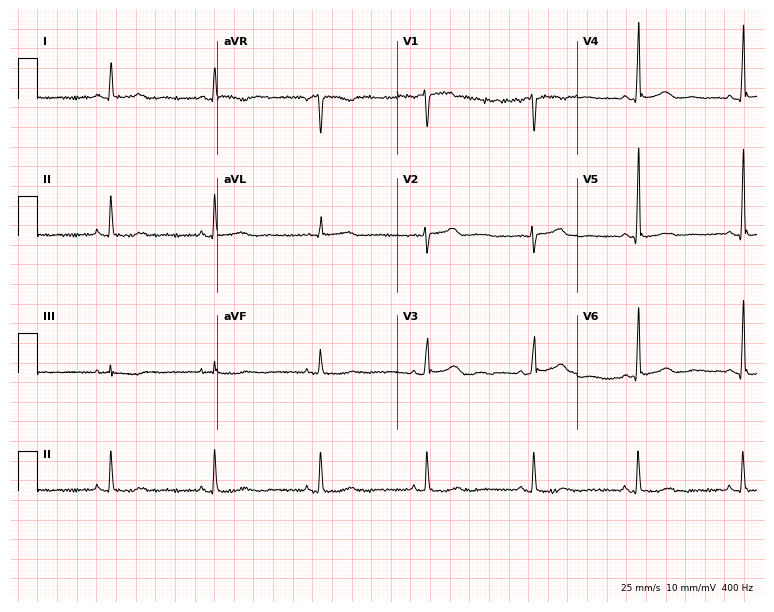
ECG — a female patient, 44 years old. Screened for six findings — first-degree AV block, right bundle branch block, left bundle branch block, sinus bradycardia, atrial fibrillation, sinus tachycardia — none is recorded. Only these six findings were labelled.